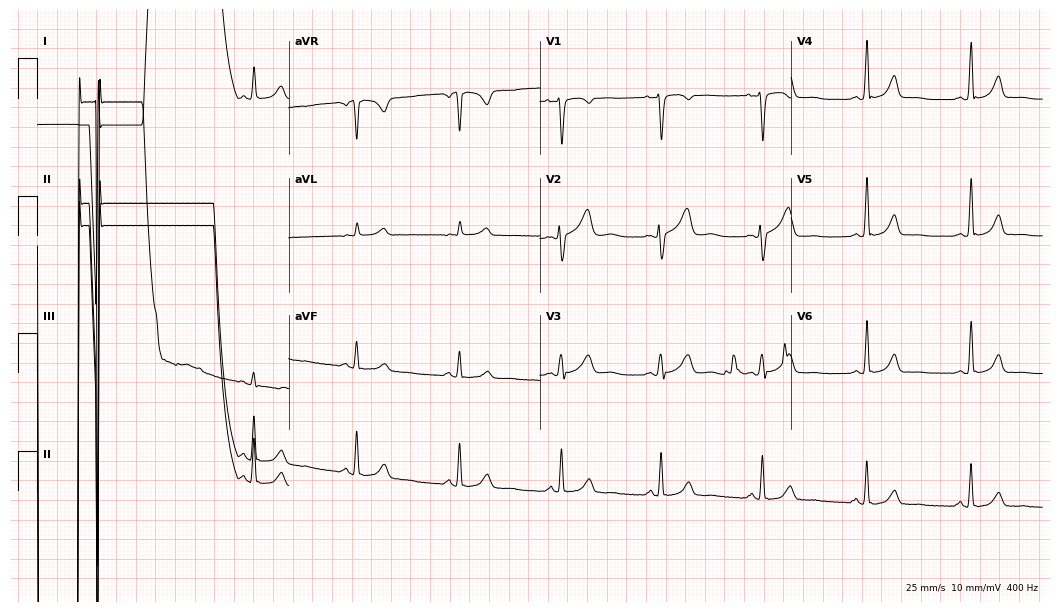
12-lead ECG (10.2-second recording at 400 Hz) from a 35-year-old female patient. Screened for six findings — first-degree AV block, right bundle branch block (RBBB), left bundle branch block (LBBB), sinus bradycardia, atrial fibrillation (AF), sinus tachycardia — none is recorded. Findings outside these six are not listed.